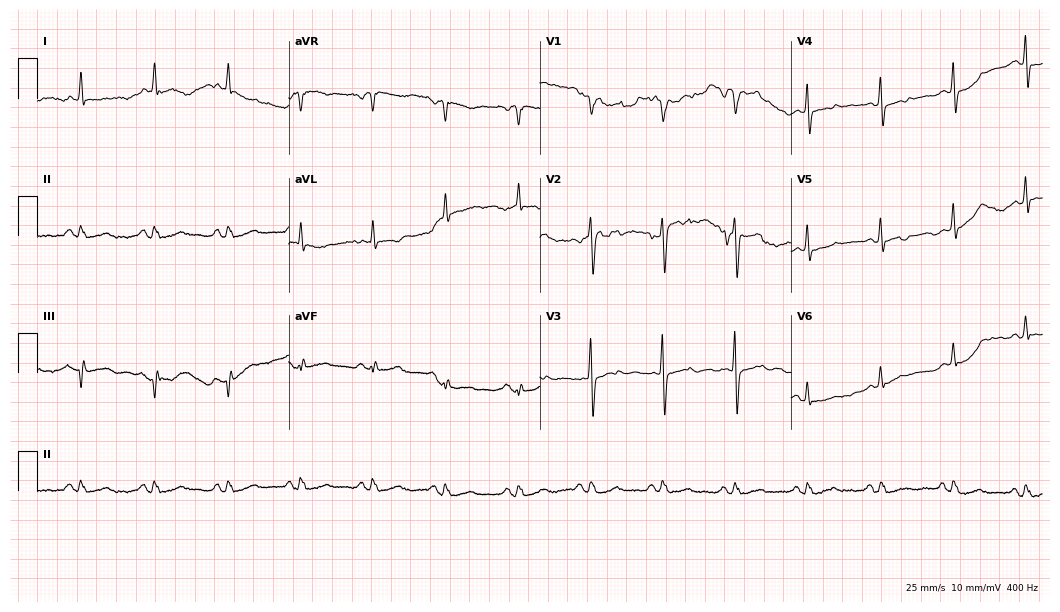
Standard 12-lead ECG recorded from a 75-year-old man (10.2-second recording at 400 Hz). None of these six findings is recorded: first-degree AV block, right bundle branch block, left bundle branch block, sinus bradycardia, atrial fibrillation, sinus tachycardia. Only these six findings were labelled.